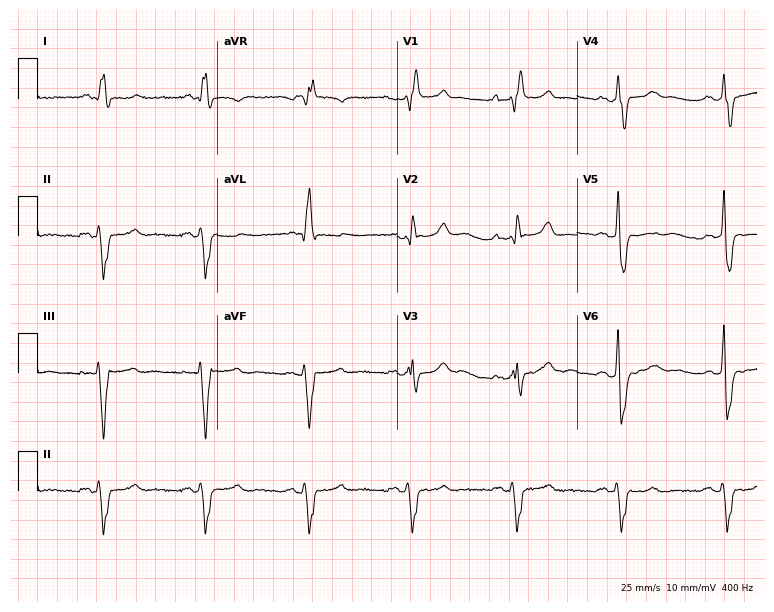
12-lead ECG from a 55-year-old man. Shows right bundle branch block (RBBB).